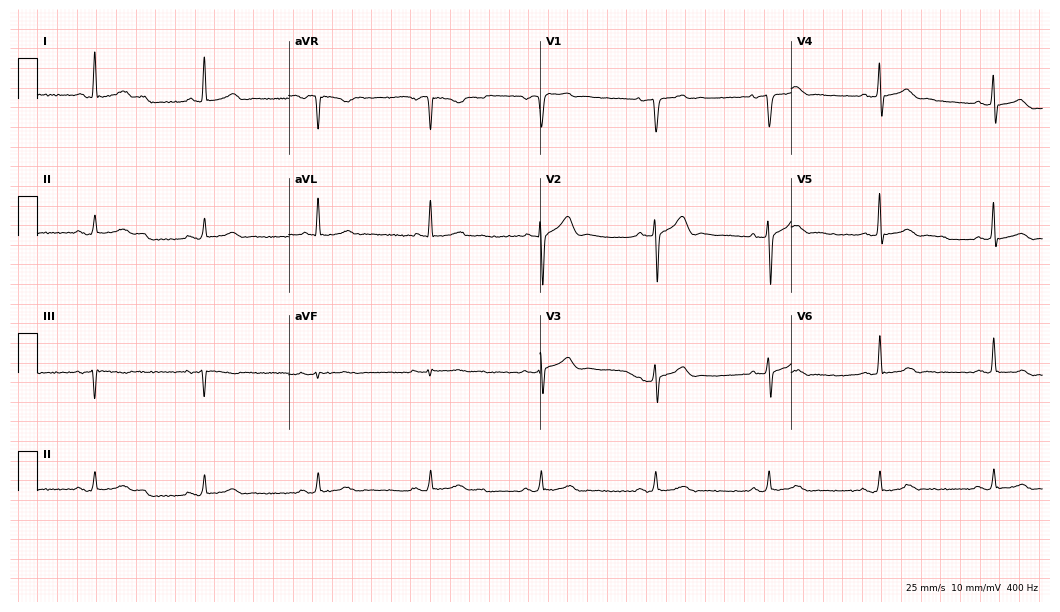
12-lead ECG from a 64-year-old man. Recorded interpretation: within normal limits.